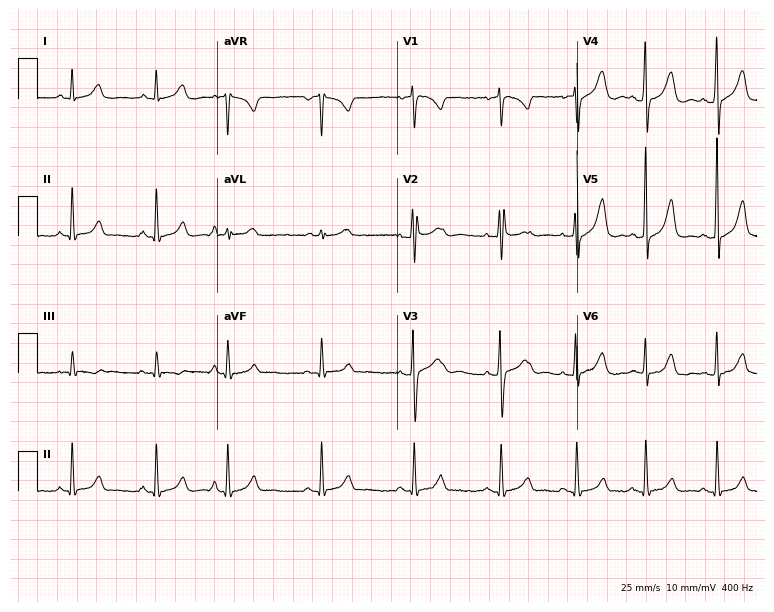
12-lead ECG from a 19-year-old female (7.3-second recording at 400 Hz). Recorded interpretation: within normal limits.